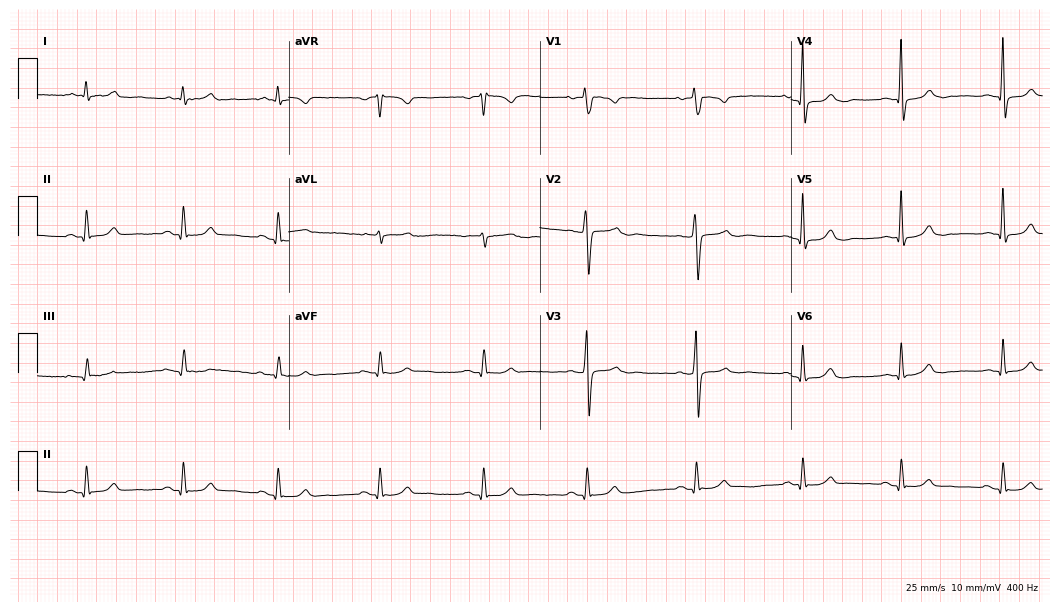
ECG (10.2-second recording at 400 Hz) — a female patient, 69 years old. Labelled as a normal ECG.